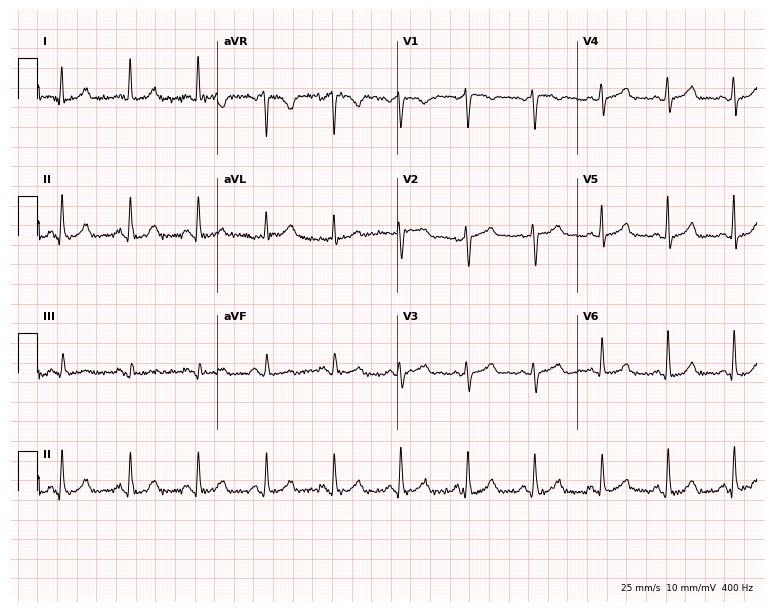
Electrocardiogram (7.3-second recording at 400 Hz), a female, 67 years old. Overall reading on record: normal ECG.